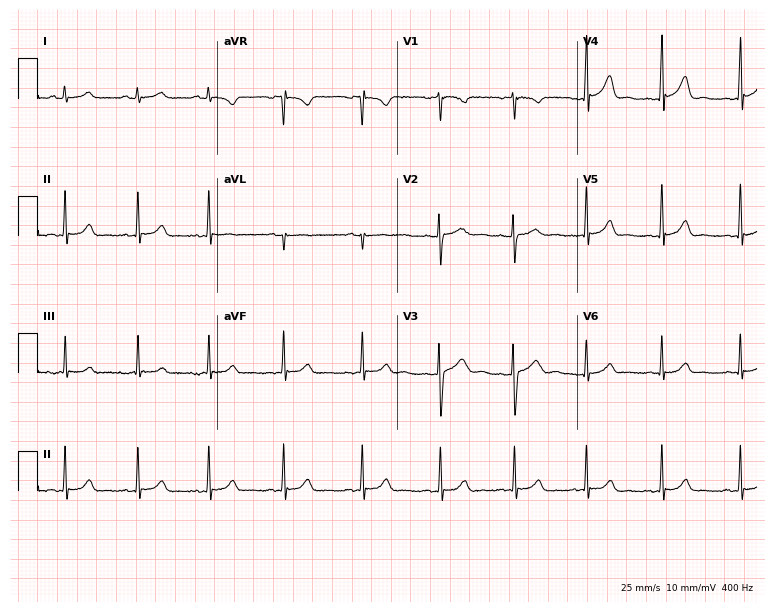
Resting 12-lead electrocardiogram (7.3-second recording at 400 Hz). Patient: a female, 19 years old. Read as a normal ECG.